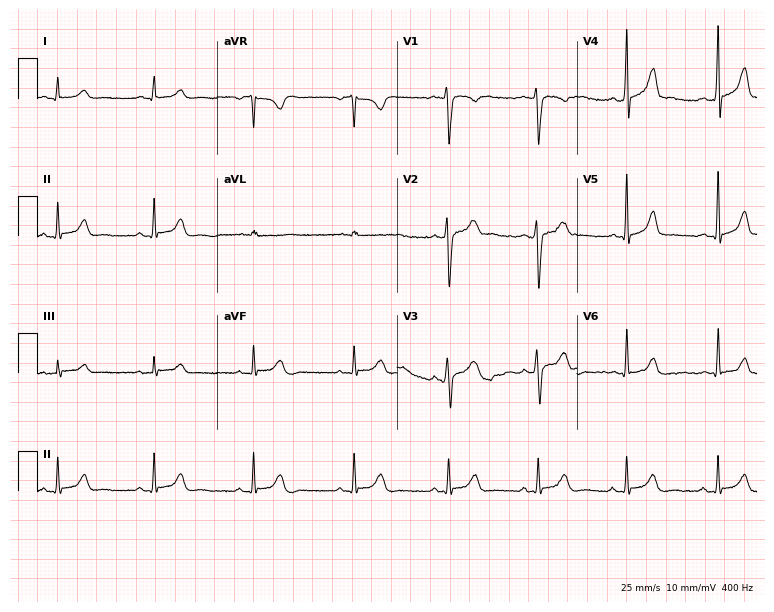
Resting 12-lead electrocardiogram. Patient: a 19-year-old man. Read as a normal ECG.